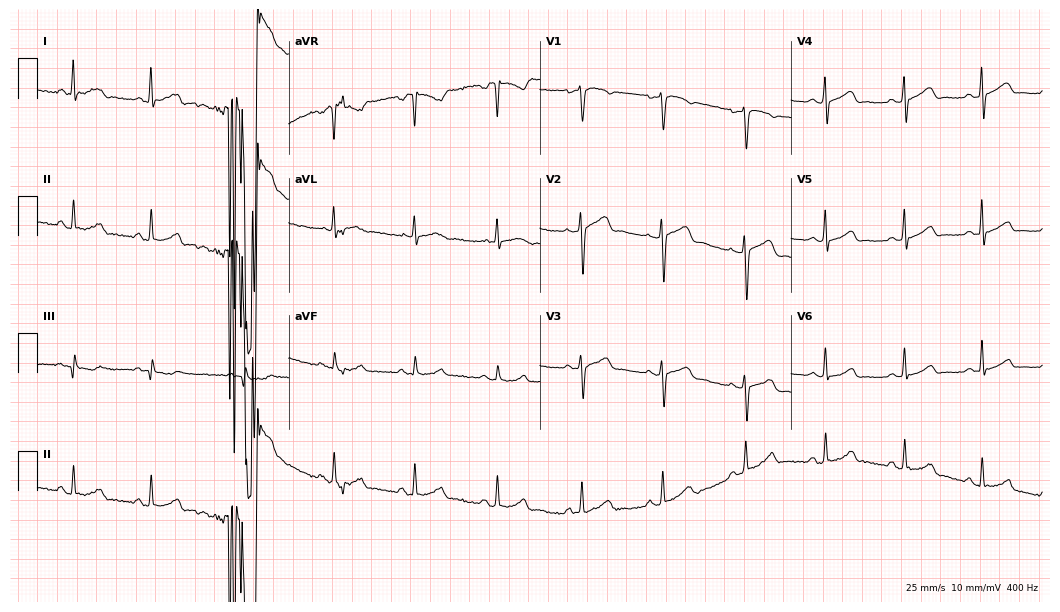
ECG (10.2-second recording at 400 Hz) — a female patient, 47 years old. Labelled as a normal ECG.